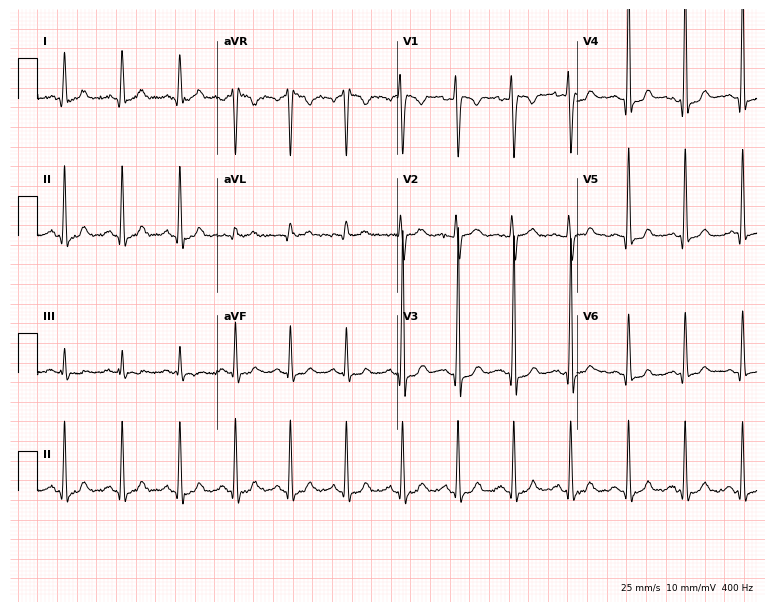
12-lead ECG from a 35-year-old female (7.3-second recording at 400 Hz). Shows sinus tachycardia (a sinus rate of 100 beats per minute or more).